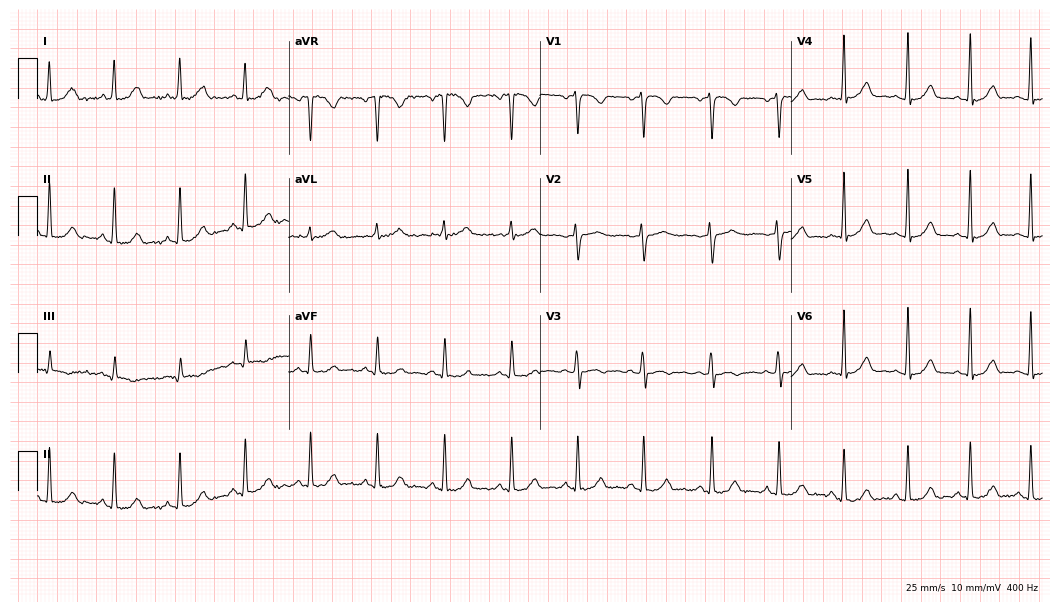
Electrocardiogram (10.2-second recording at 400 Hz), a woman, 20 years old. Overall reading on record: normal ECG.